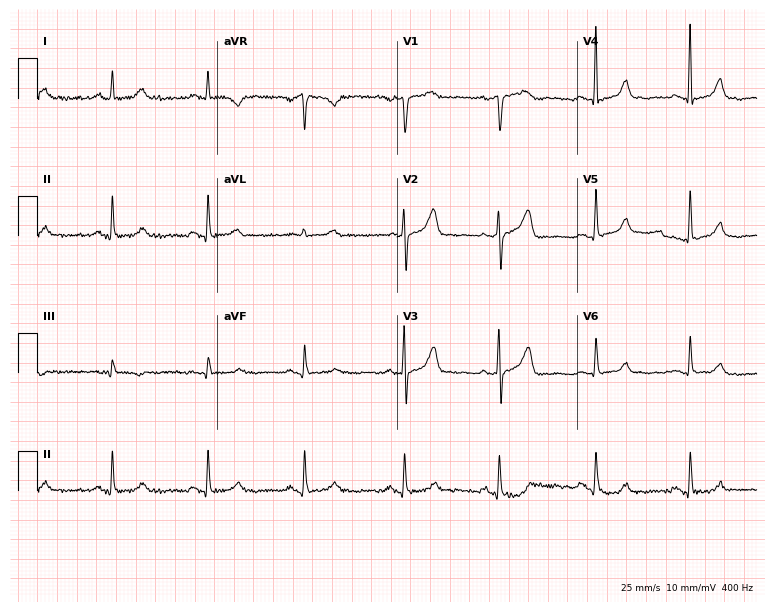
Resting 12-lead electrocardiogram. Patient: a male, 67 years old. None of these six findings is recorded: first-degree AV block, right bundle branch block, left bundle branch block, sinus bradycardia, atrial fibrillation, sinus tachycardia.